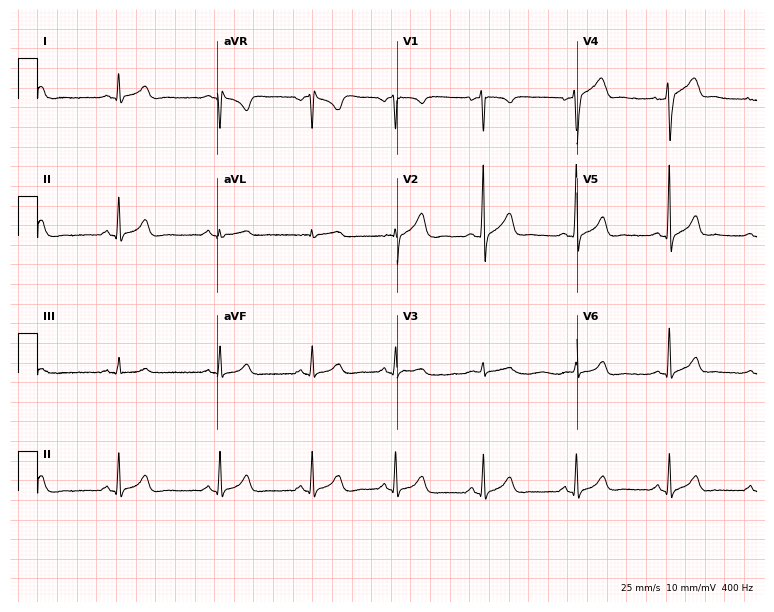
Resting 12-lead electrocardiogram. Patient: a male, 43 years old. Read as a normal ECG.